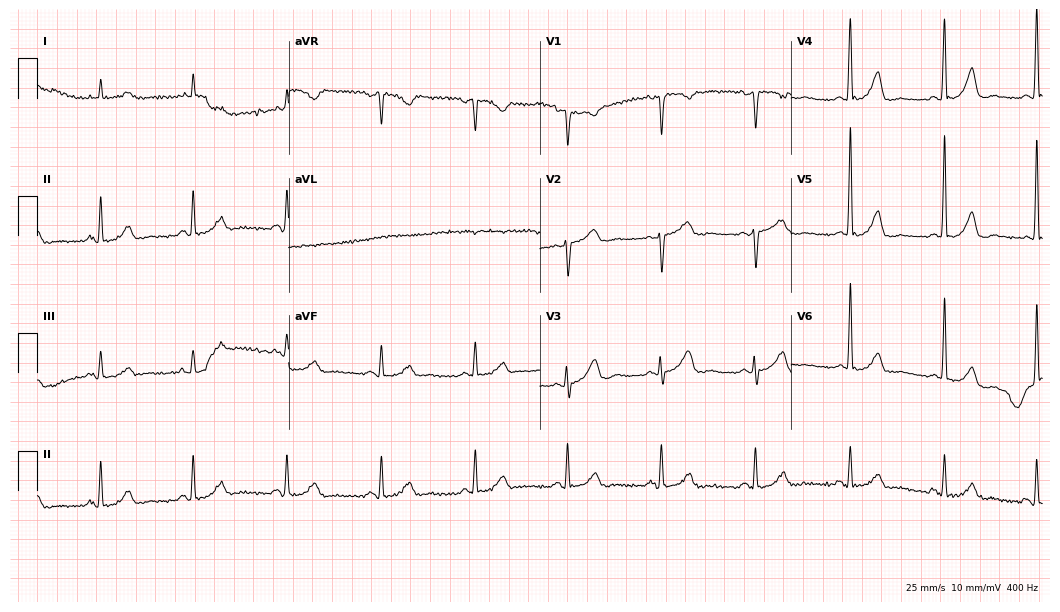
12-lead ECG from a female patient, 70 years old. No first-degree AV block, right bundle branch block, left bundle branch block, sinus bradycardia, atrial fibrillation or sinus tachycardia recorded for this tracing. Findings outside these six are not listed.